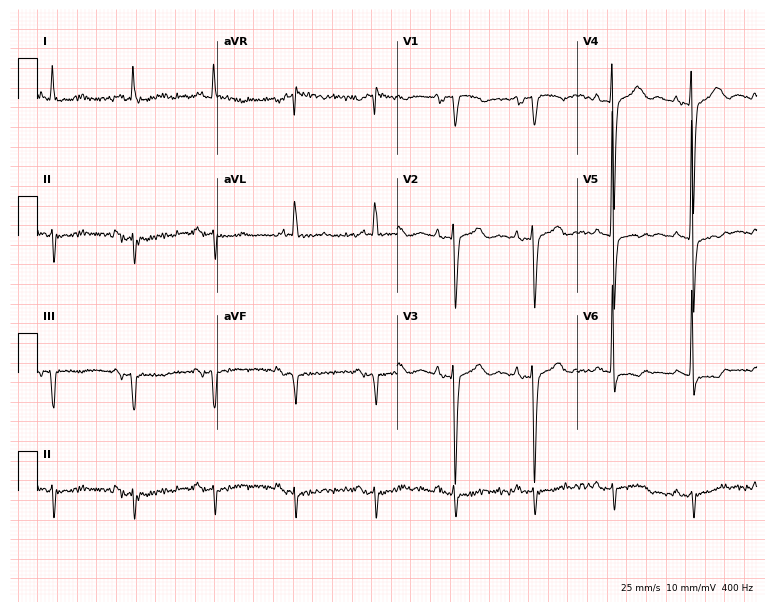
ECG — a 75-year-old woman. Screened for six findings — first-degree AV block, right bundle branch block, left bundle branch block, sinus bradycardia, atrial fibrillation, sinus tachycardia — none is recorded. Only these six findings were labelled.